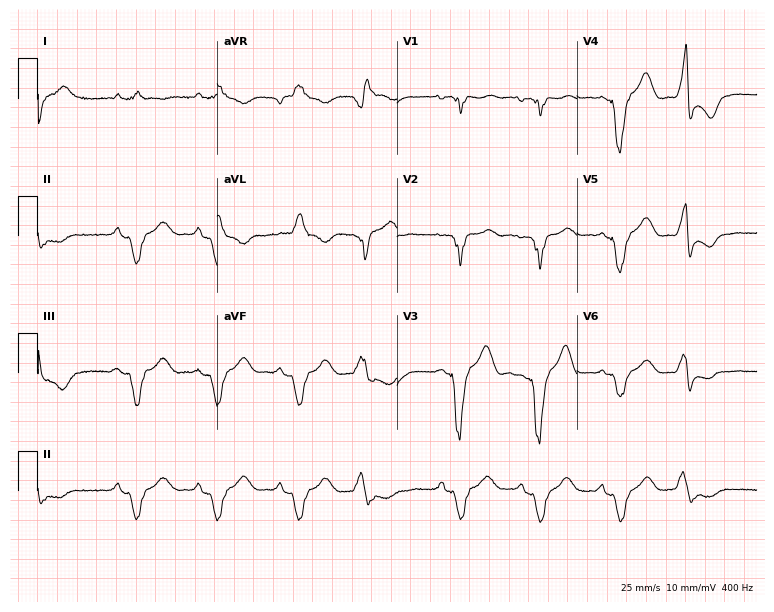
12-lead ECG from a female patient, 52 years old. No first-degree AV block, right bundle branch block, left bundle branch block, sinus bradycardia, atrial fibrillation or sinus tachycardia recorded for this tracing. Findings outside these six are not listed.